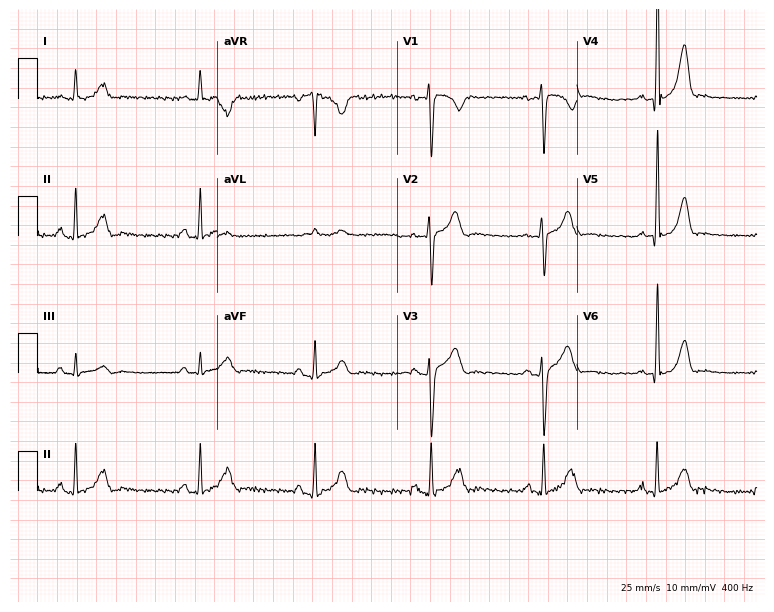
12-lead ECG from a 29-year-old male patient (7.3-second recording at 400 Hz). No first-degree AV block, right bundle branch block, left bundle branch block, sinus bradycardia, atrial fibrillation or sinus tachycardia recorded for this tracing.